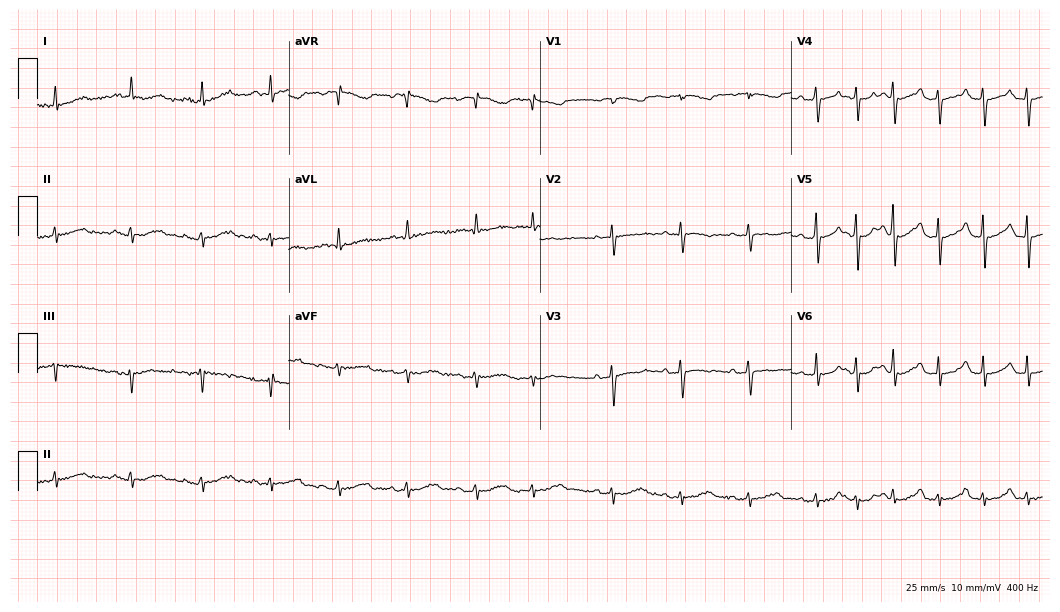
12-lead ECG from a 74-year-old female. No first-degree AV block, right bundle branch block, left bundle branch block, sinus bradycardia, atrial fibrillation or sinus tachycardia recorded for this tracing.